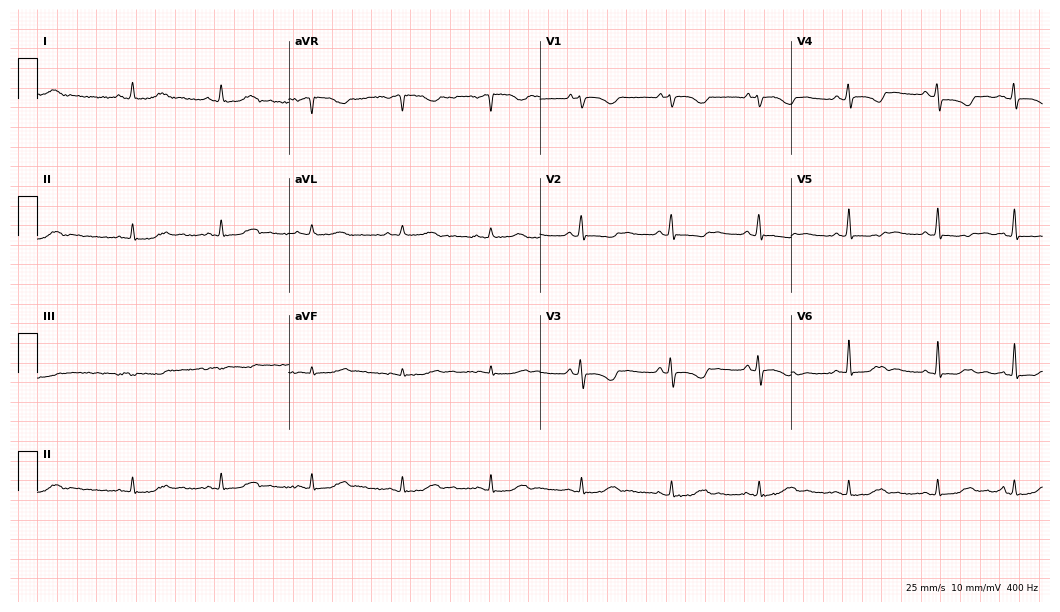
ECG (10.2-second recording at 400 Hz) — a 41-year-old woman. Screened for six findings — first-degree AV block, right bundle branch block, left bundle branch block, sinus bradycardia, atrial fibrillation, sinus tachycardia — none is recorded. Findings outside these six are not listed.